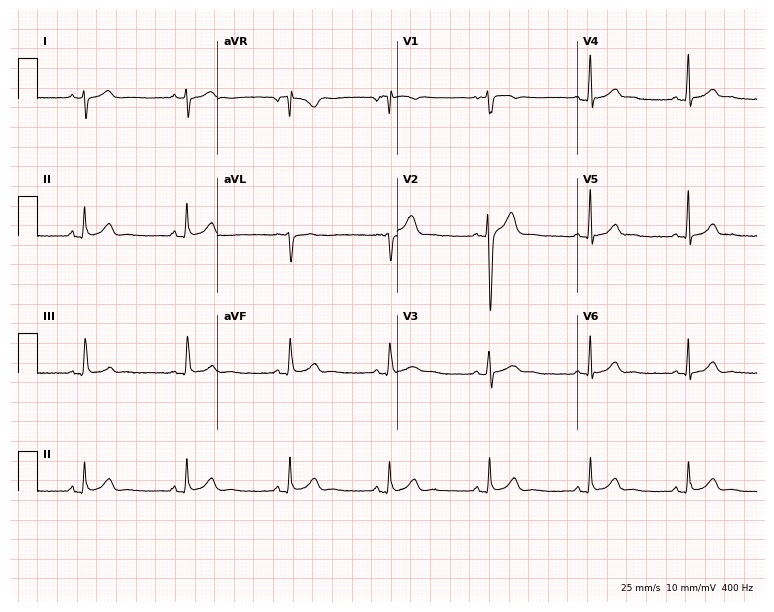
ECG (7.3-second recording at 400 Hz) — a 34-year-old male. Screened for six findings — first-degree AV block, right bundle branch block, left bundle branch block, sinus bradycardia, atrial fibrillation, sinus tachycardia — none is recorded.